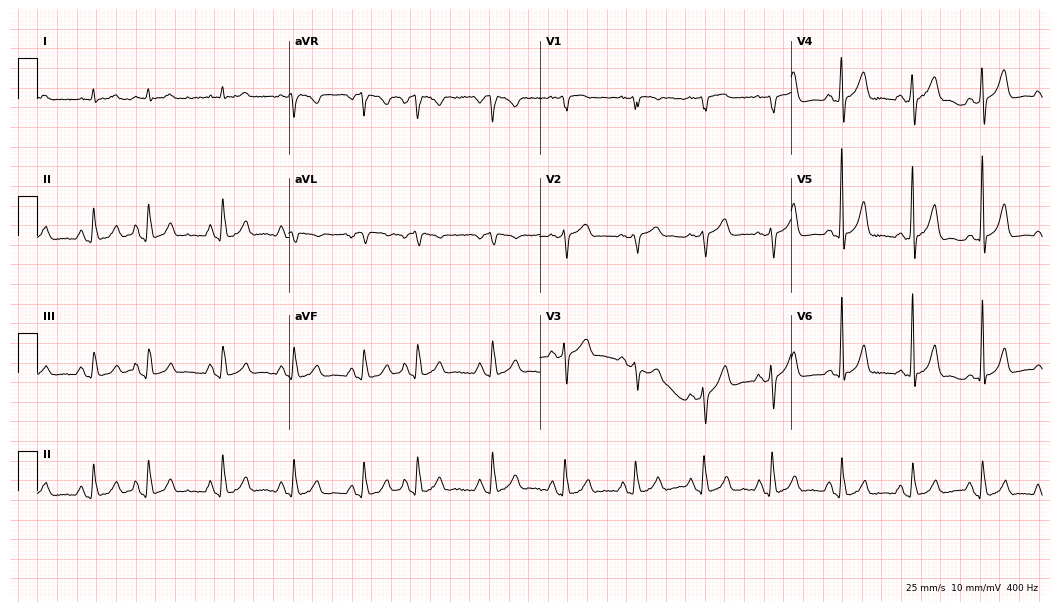
12-lead ECG from an 81-year-old male (10.2-second recording at 400 Hz). No first-degree AV block, right bundle branch block, left bundle branch block, sinus bradycardia, atrial fibrillation or sinus tachycardia recorded for this tracing.